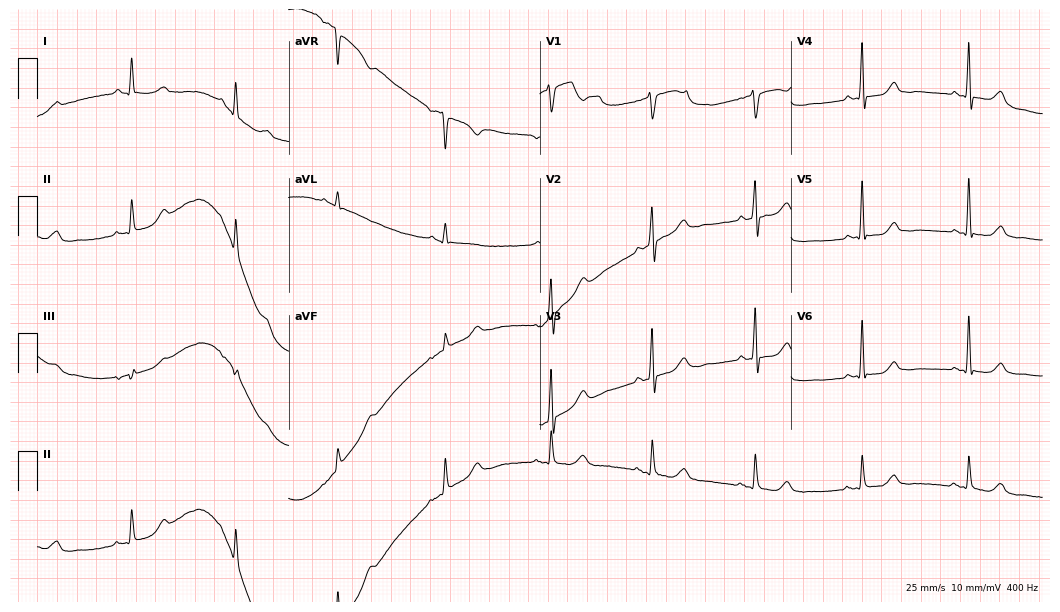
12-lead ECG from a 62-year-old female (10.2-second recording at 400 Hz). Recorded interpretation: within normal limits.